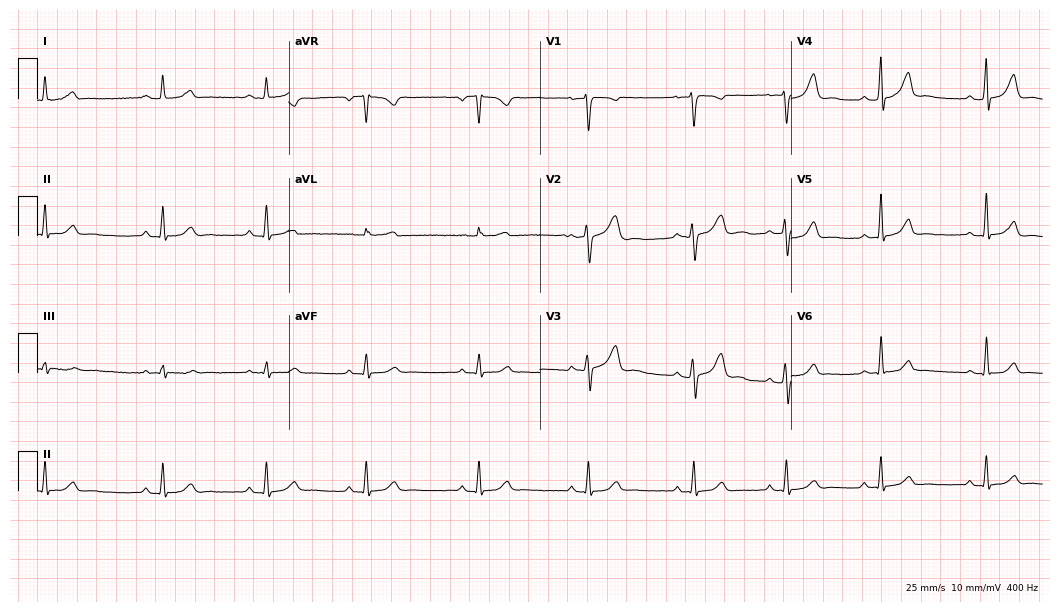
Resting 12-lead electrocardiogram (10.2-second recording at 400 Hz). Patient: a woman, 26 years old. None of these six findings is recorded: first-degree AV block, right bundle branch block, left bundle branch block, sinus bradycardia, atrial fibrillation, sinus tachycardia.